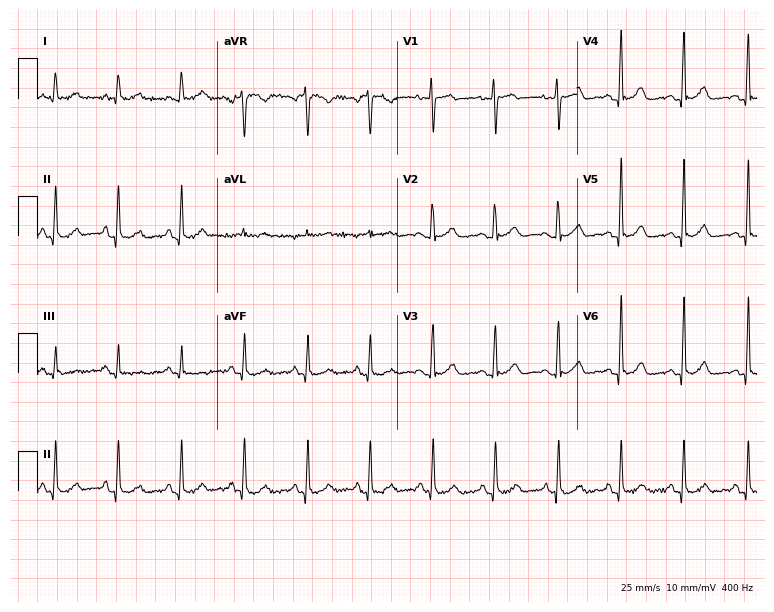
12-lead ECG (7.3-second recording at 400 Hz) from a female patient, 49 years old. Labelled as a normal ECG.